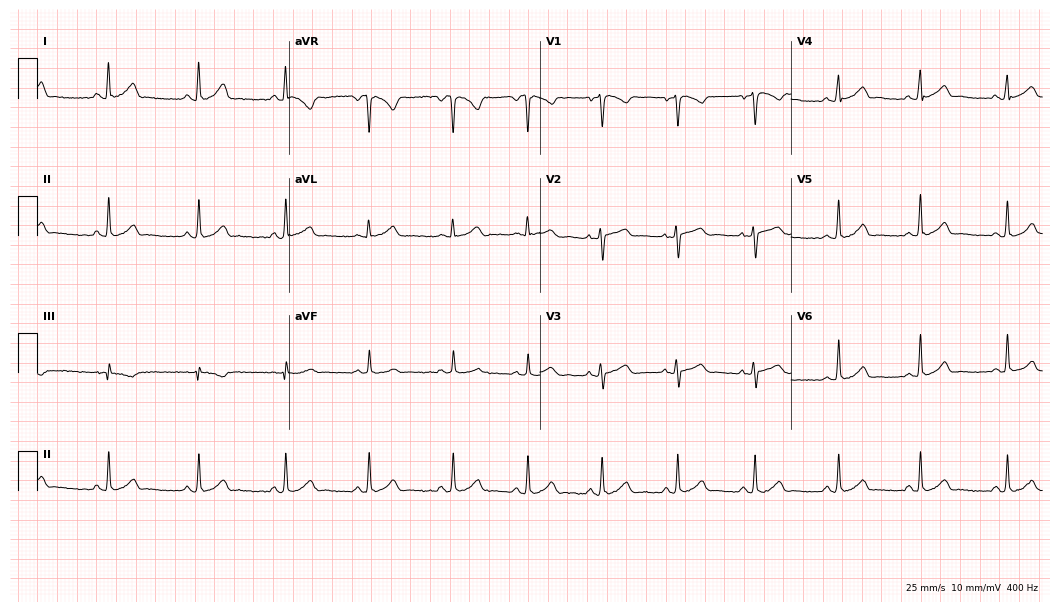
ECG — a 30-year-old woman. Labelled as a normal ECG.